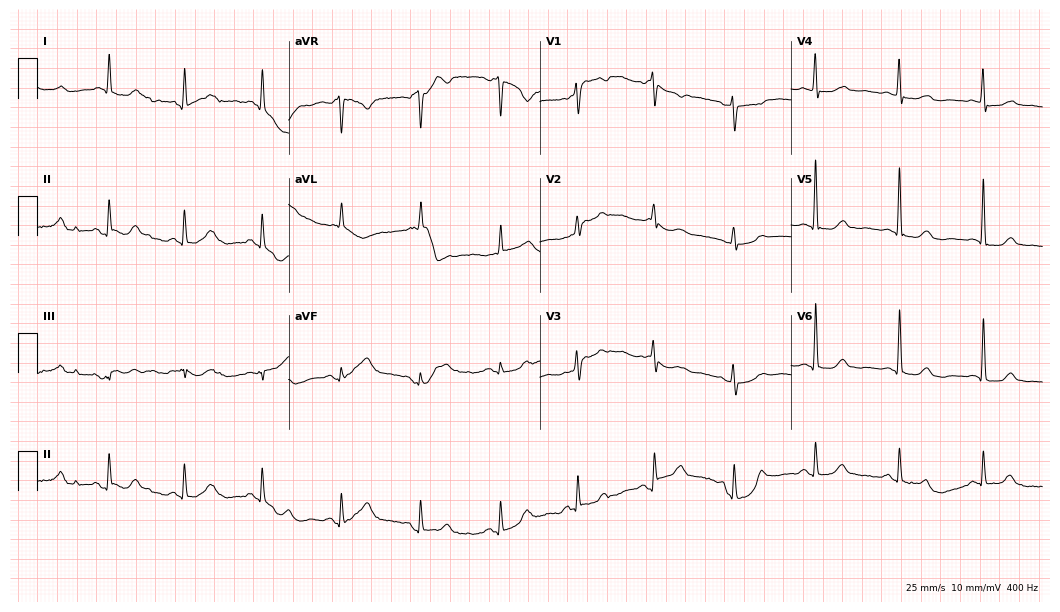
12-lead ECG from a 61-year-old woman. Recorded interpretation: within normal limits.